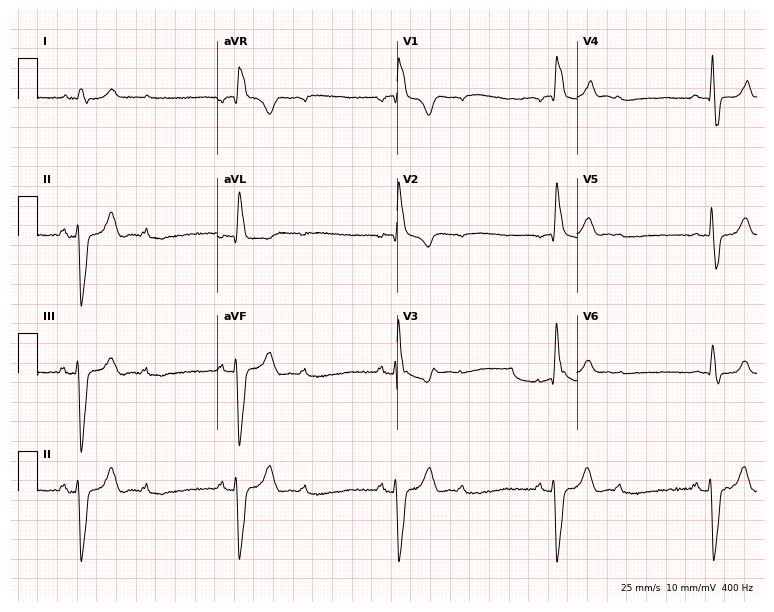
12-lead ECG from a 79-year-old male patient (7.3-second recording at 400 Hz). Shows right bundle branch block (RBBB), sinus bradycardia (a sinus rate of 50 beats per minute or less).